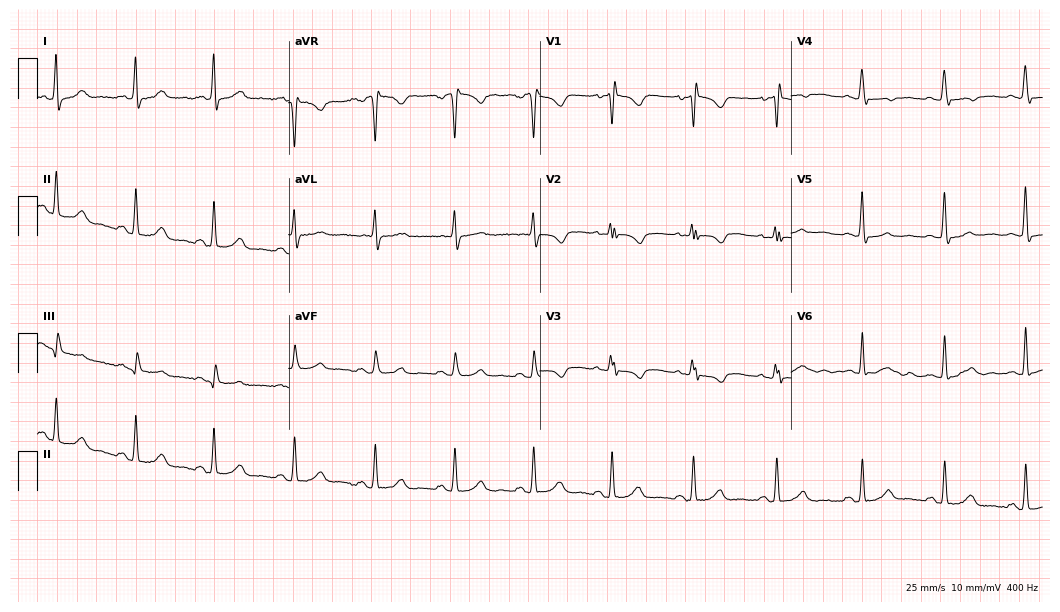
ECG (10.2-second recording at 400 Hz) — a 36-year-old female patient. Screened for six findings — first-degree AV block, right bundle branch block (RBBB), left bundle branch block (LBBB), sinus bradycardia, atrial fibrillation (AF), sinus tachycardia — none is recorded.